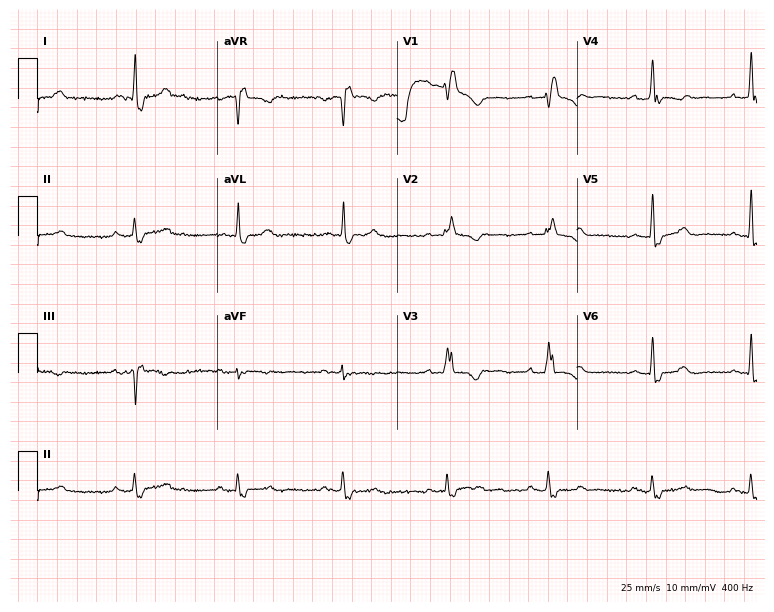
12-lead ECG from a man, 60 years old (7.3-second recording at 400 Hz). Shows right bundle branch block.